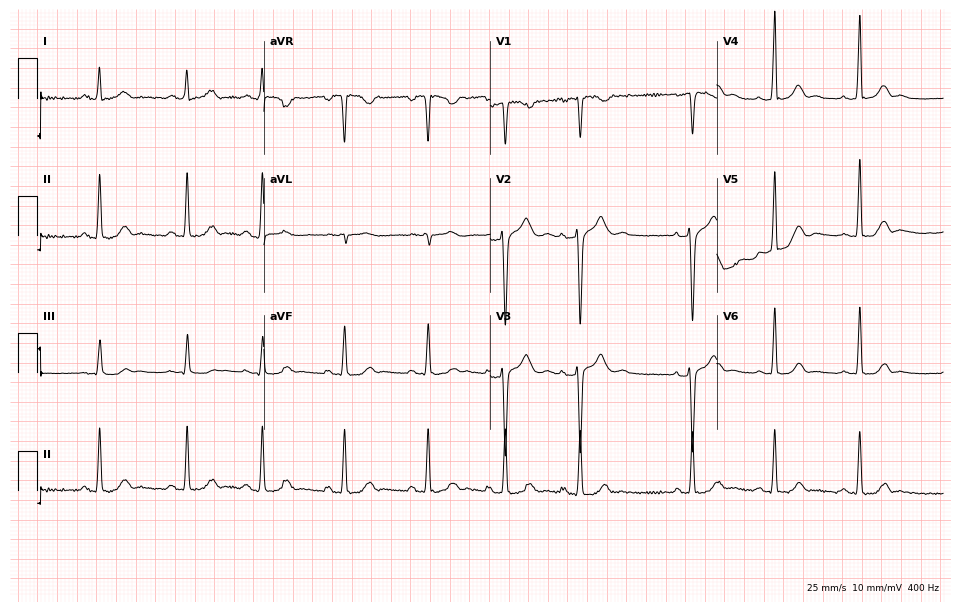
Electrocardiogram (9.2-second recording at 400 Hz), a 20-year-old female. Overall reading on record: normal ECG.